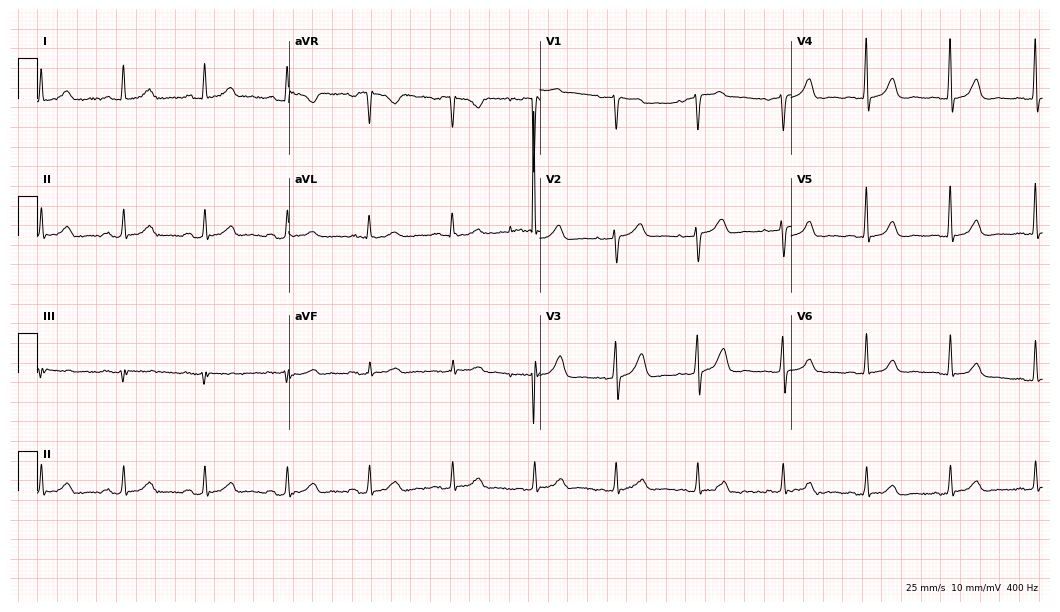
Electrocardiogram, a 61-year-old female patient. Overall reading on record: normal ECG.